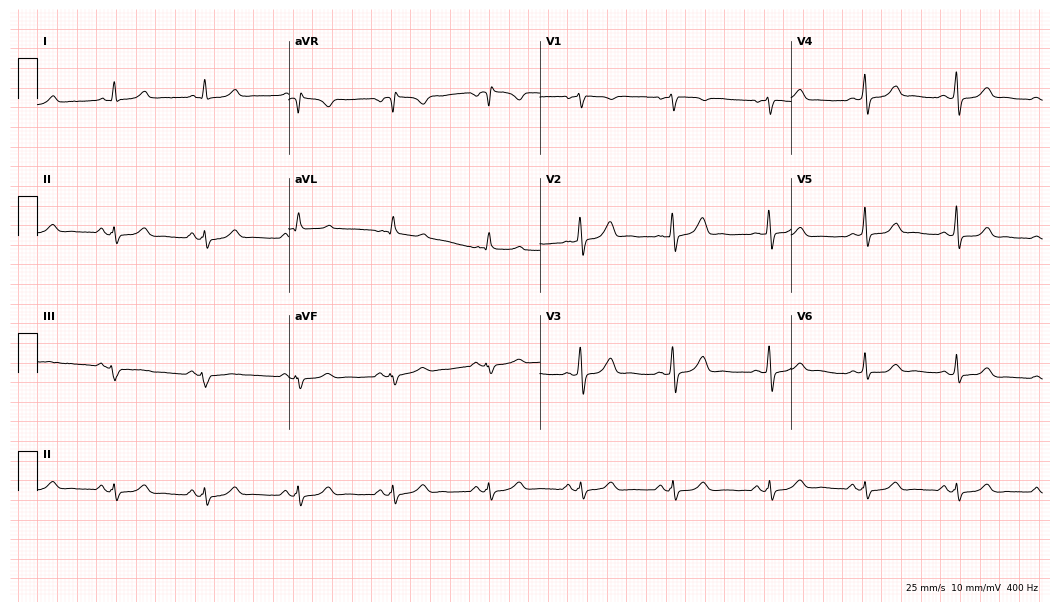
Resting 12-lead electrocardiogram. Patient: a 52-year-old female. None of these six findings is recorded: first-degree AV block, right bundle branch block (RBBB), left bundle branch block (LBBB), sinus bradycardia, atrial fibrillation (AF), sinus tachycardia. Other findings, if any, are not listed.